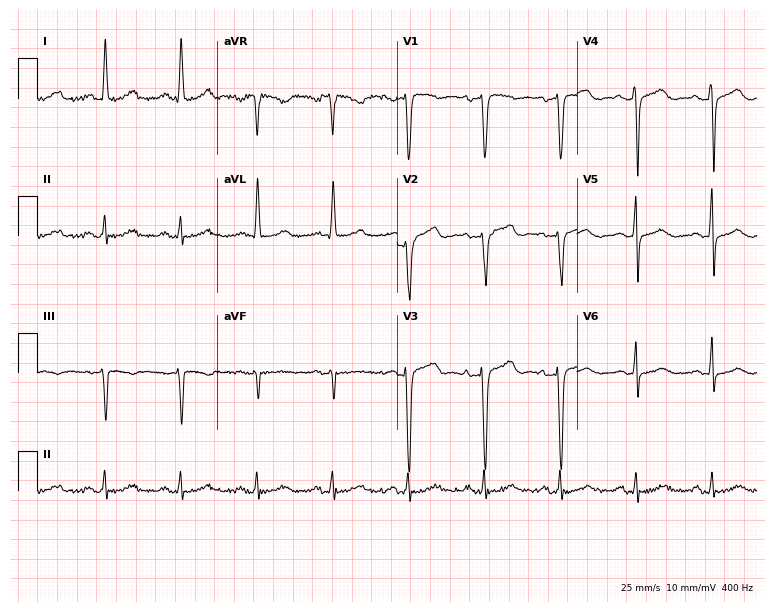
Resting 12-lead electrocardiogram. Patient: a female, 47 years old. Read as a normal ECG.